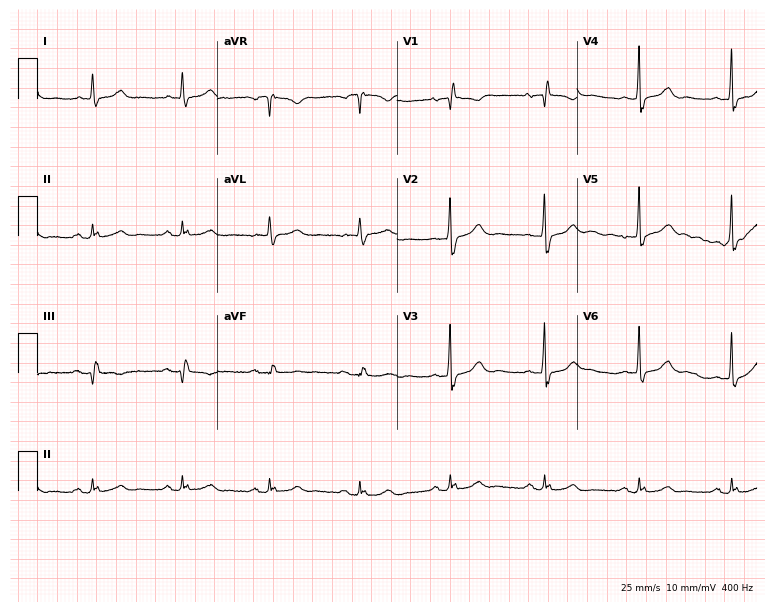
12-lead ECG from an 80-year-old man. Screened for six findings — first-degree AV block, right bundle branch block (RBBB), left bundle branch block (LBBB), sinus bradycardia, atrial fibrillation (AF), sinus tachycardia — none is recorded. Only these six findings were labelled.